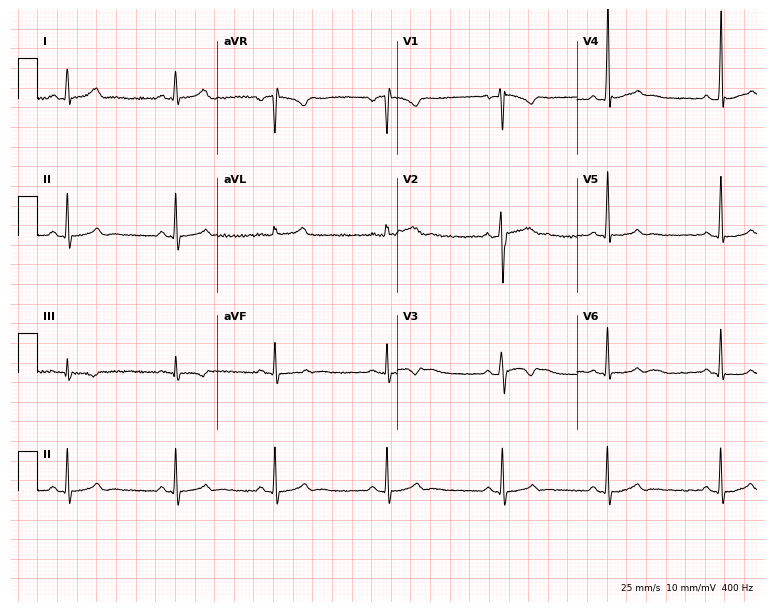
12-lead ECG from a 28-year-old man. Labelled as a normal ECG.